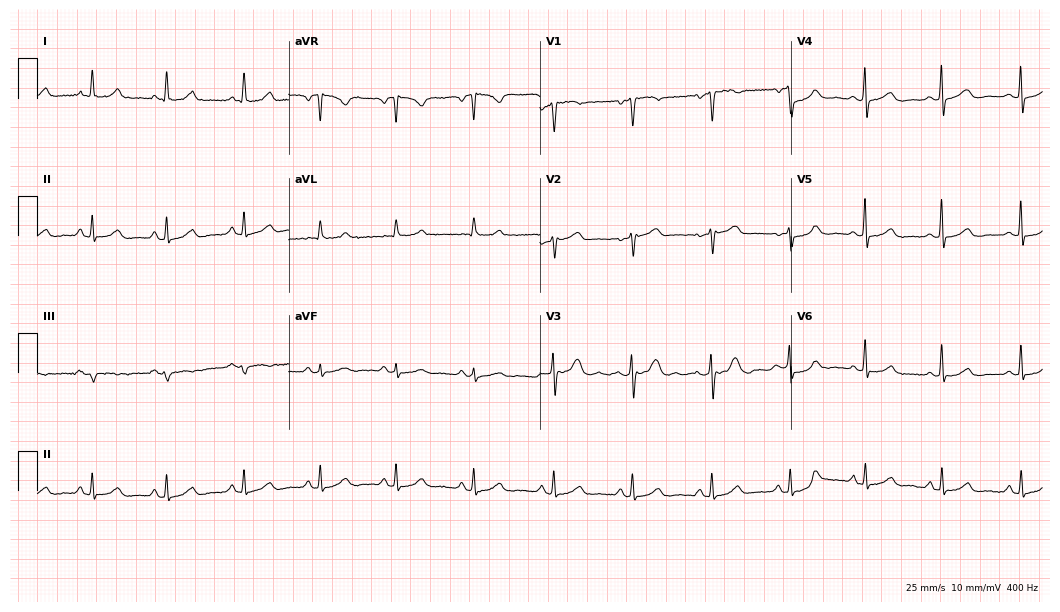
Standard 12-lead ECG recorded from a male, 47 years old (10.2-second recording at 400 Hz). Read as a normal ECG.